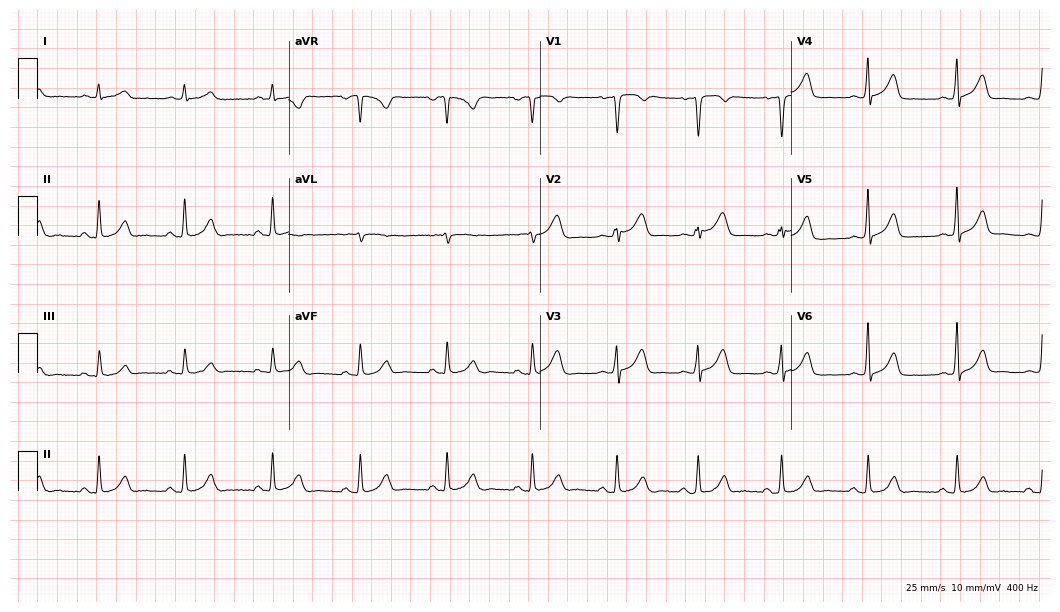
12-lead ECG from a male, 44 years old. Labelled as a normal ECG.